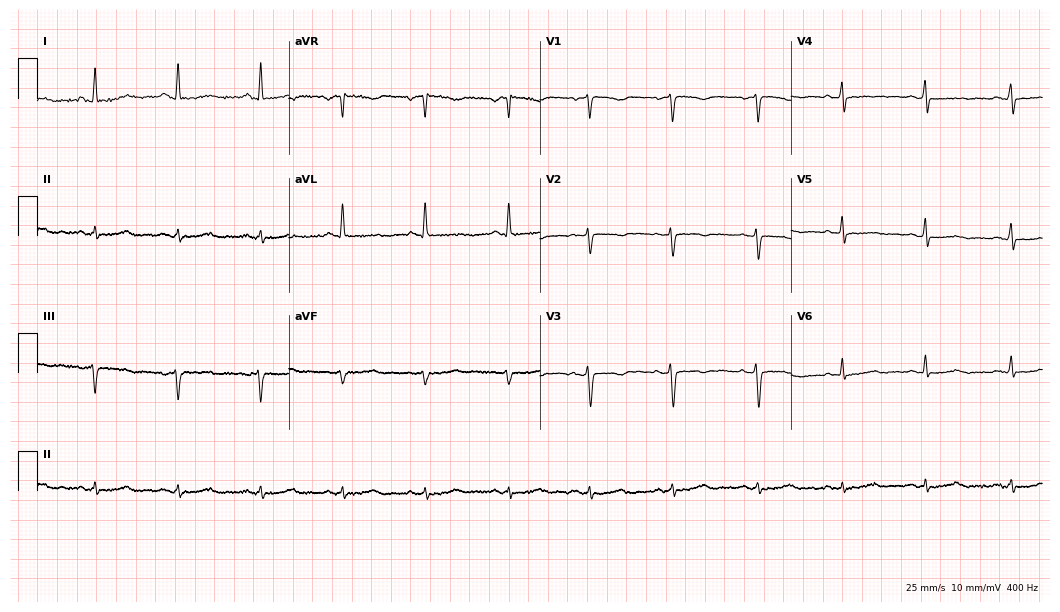
ECG (10.2-second recording at 400 Hz) — a 44-year-old female. Screened for six findings — first-degree AV block, right bundle branch block (RBBB), left bundle branch block (LBBB), sinus bradycardia, atrial fibrillation (AF), sinus tachycardia — none is recorded.